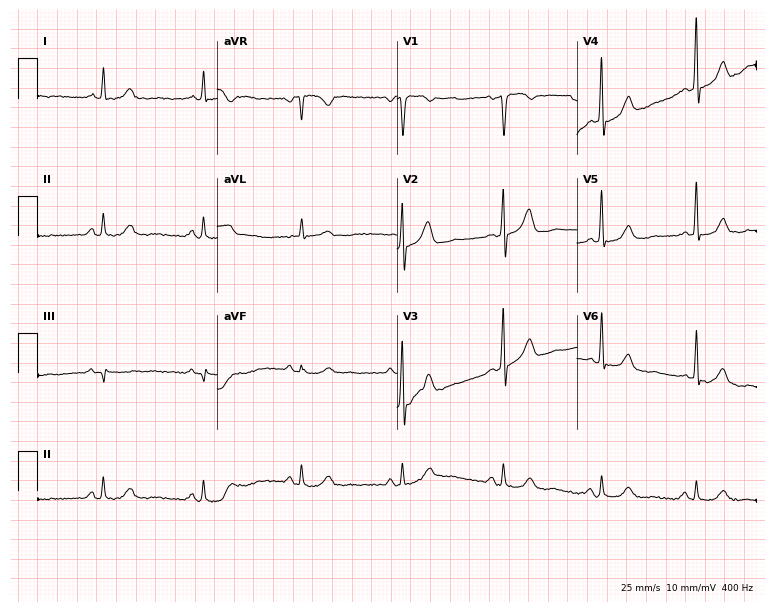
Electrocardiogram, a man, 50 years old. Of the six screened findings (first-degree AV block, right bundle branch block, left bundle branch block, sinus bradycardia, atrial fibrillation, sinus tachycardia), none is recorded.